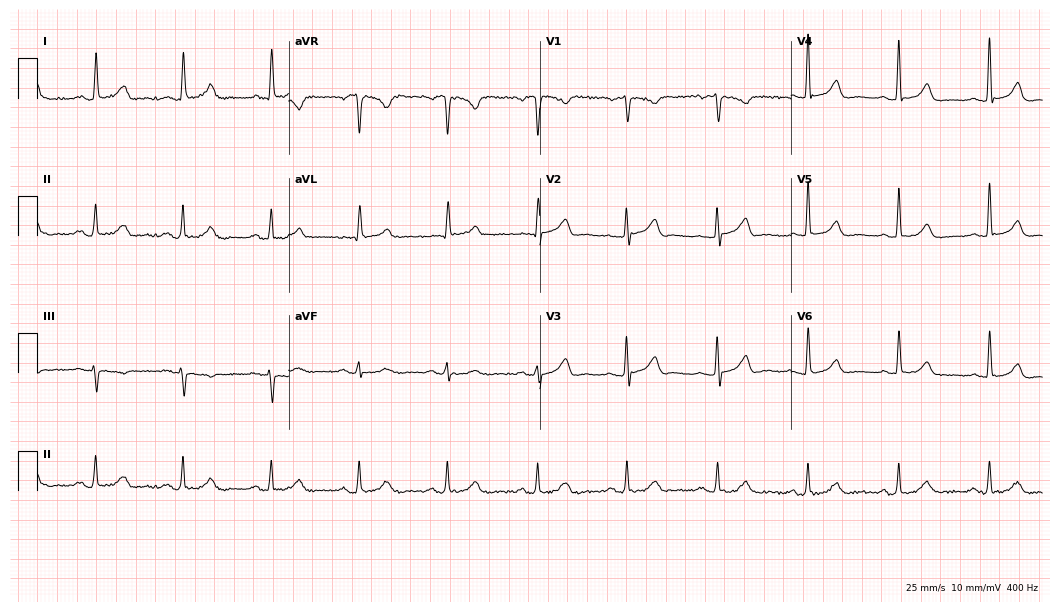
ECG (10.2-second recording at 400 Hz) — a 75-year-old female. Labelled as a normal ECG.